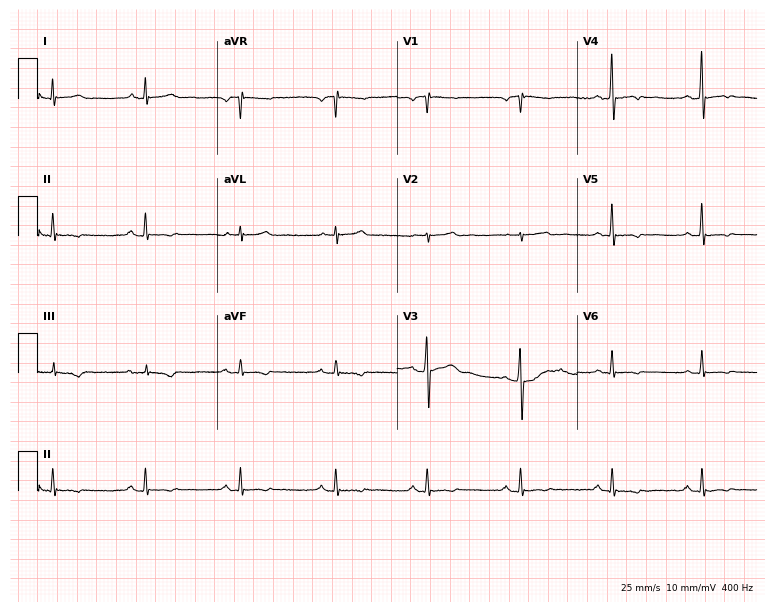
Resting 12-lead electrocardiogram (7.3-second recording at 400 Hz). Patient: a male, 47 years old. None of these six findings is recorded: first-degree AV block, right bundle branch block (RBBB), left bundle branch block (LBBB), sinus bradycardia, atrial fibrillation (AF), sinus tachycardia.